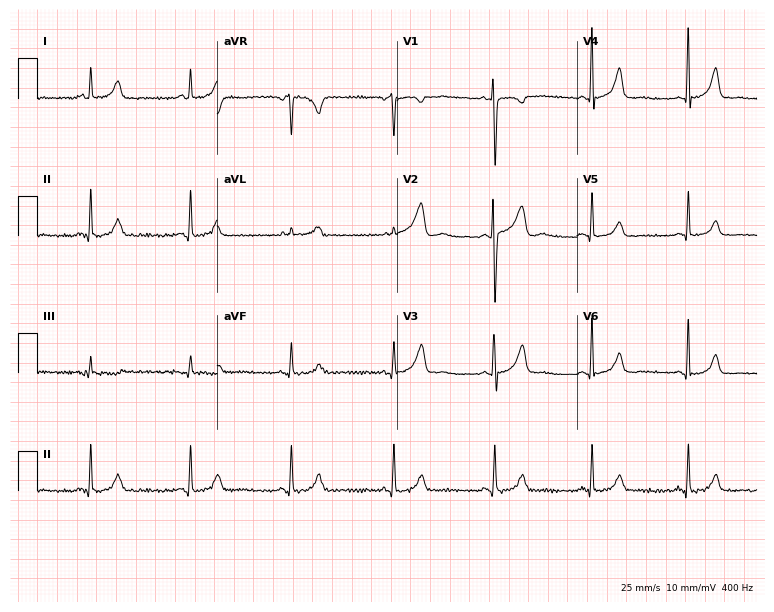
Resting 12-lead electrocardiogram. Patient: a 36-year-old female. Read as a normal ECG.